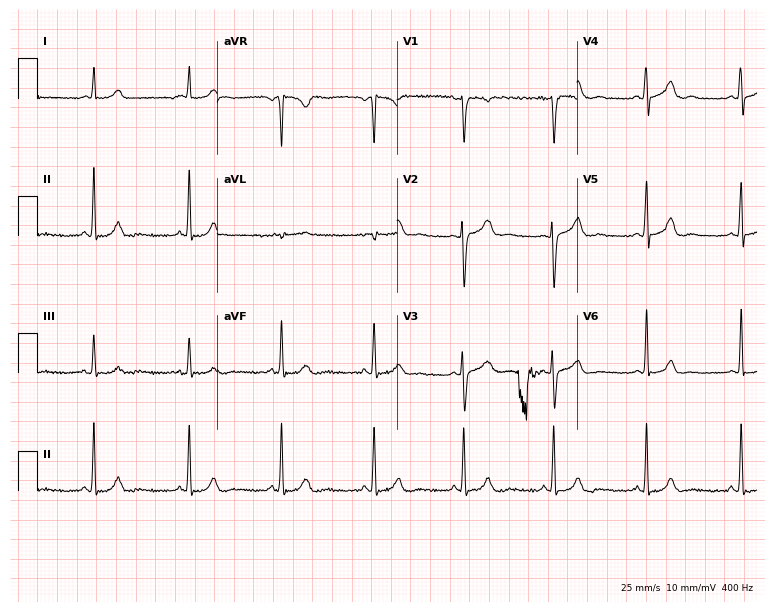
Electrocardiogram, a woman, 28 years old. Overall reading on record: normal ECG.